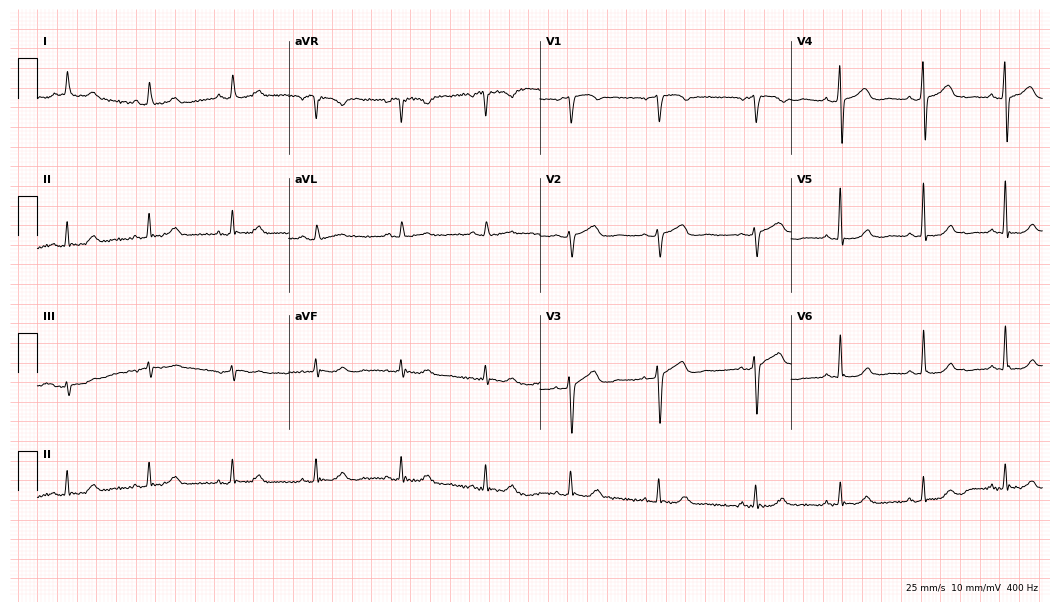
Electrocardiogram (10.2-second recording at 400 Hz), a 67-year-old female. Overall reading on record: normal ECG.